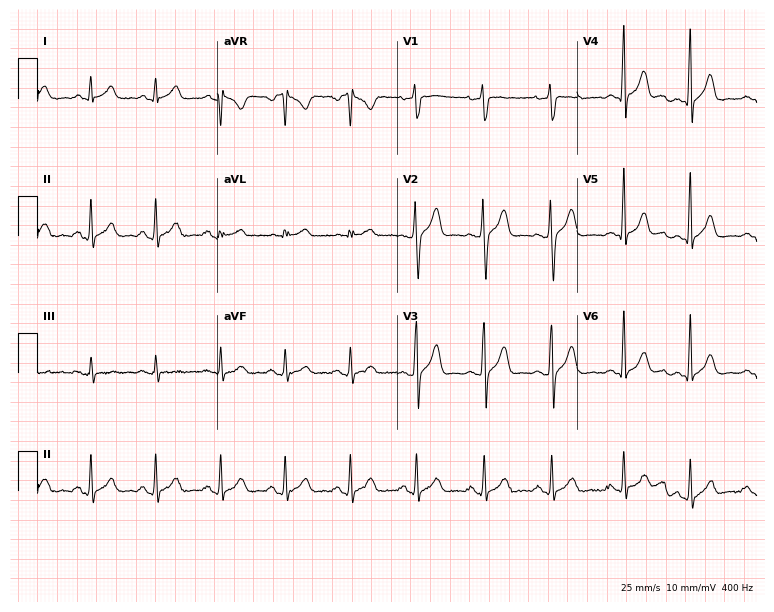
ECG (7.3-second recording at 400 Hz) — a male patient, 23 years old. Screened for six findings — first-degree AV block, right bundle branch block, left bundle branch block, sinus bradycardia, atrial fibrillation, sinus tachycardia — none is recorded.